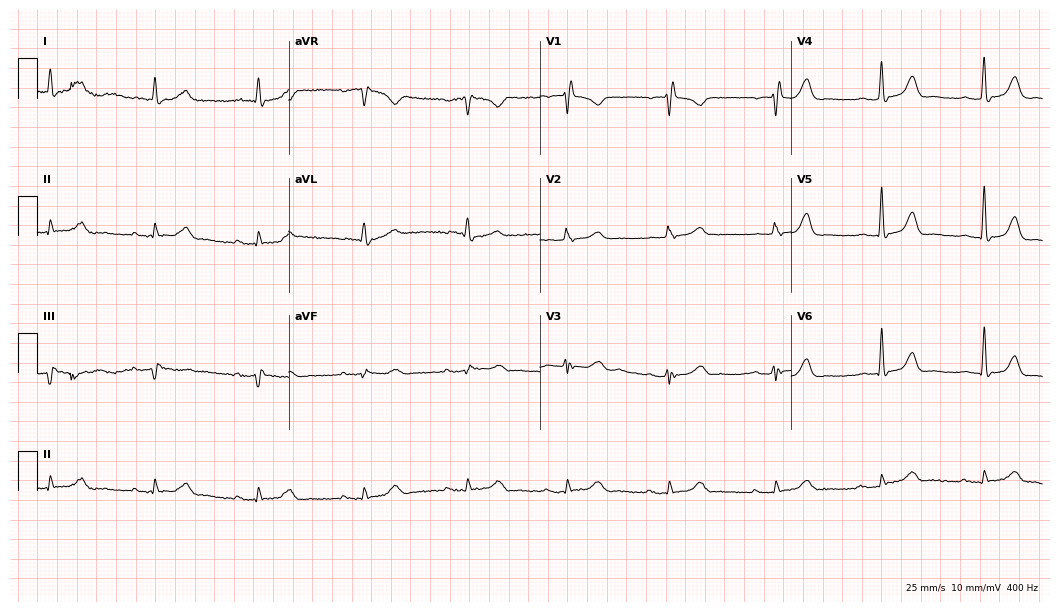
Standard 12-lead ECG recorded from a 79-year-old female. None of these six findings is recorded: first-degree AV block, right bundle branch block (RBBB), left bundle branch block (LBBB), sinus bradycardia, atrial fibrillation (AF), sinus tachycardia.